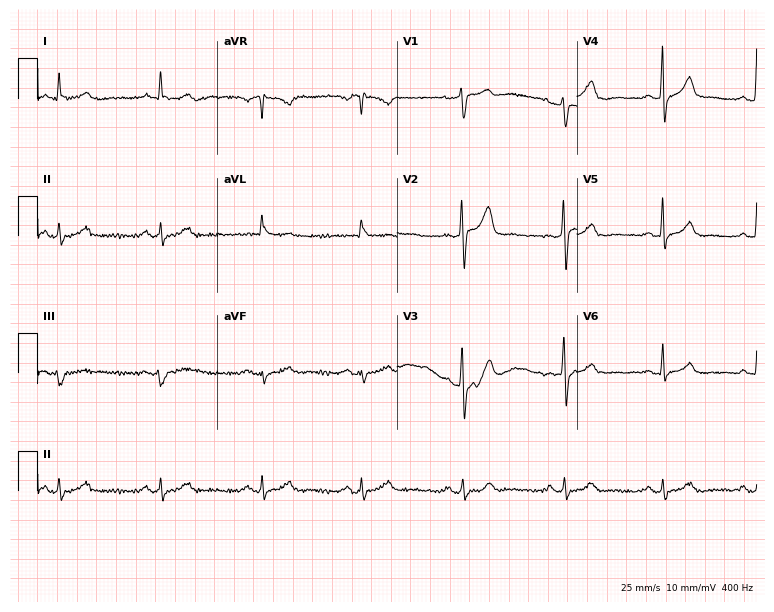
Electrocardiogram (7.3-second recording at 400 Hz), a male patient, 55 years old. Of the six screened findings (first-degree AV block, right bundle branch block, left bundle branch block, sinus bradycardia, atrial fibrillation, sinus tachycardia), none is recorded. Findings outside these six are not listed.